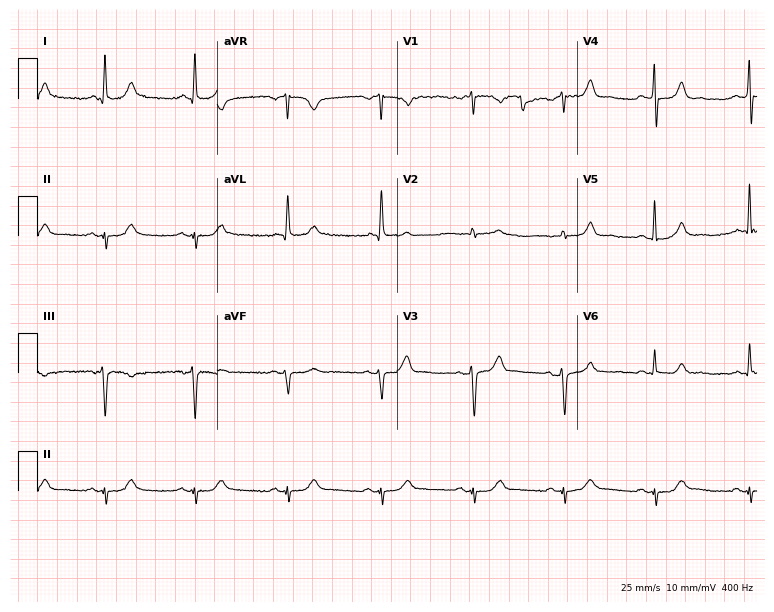
12-lead ECG from a male patient, 53 years old. No first-degree AV block, right bundle branch block, left bundle branch block, sinus bradycardia, atrial fibrillation or sinus tachycardia recorded for this tracing.